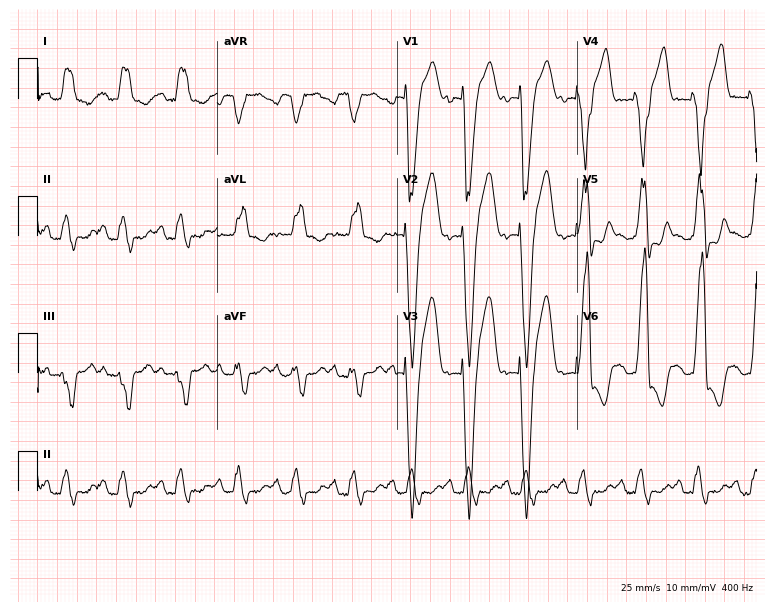
12-lead ECG from a female patient, 59 years old. Findings include left bundle branch block.